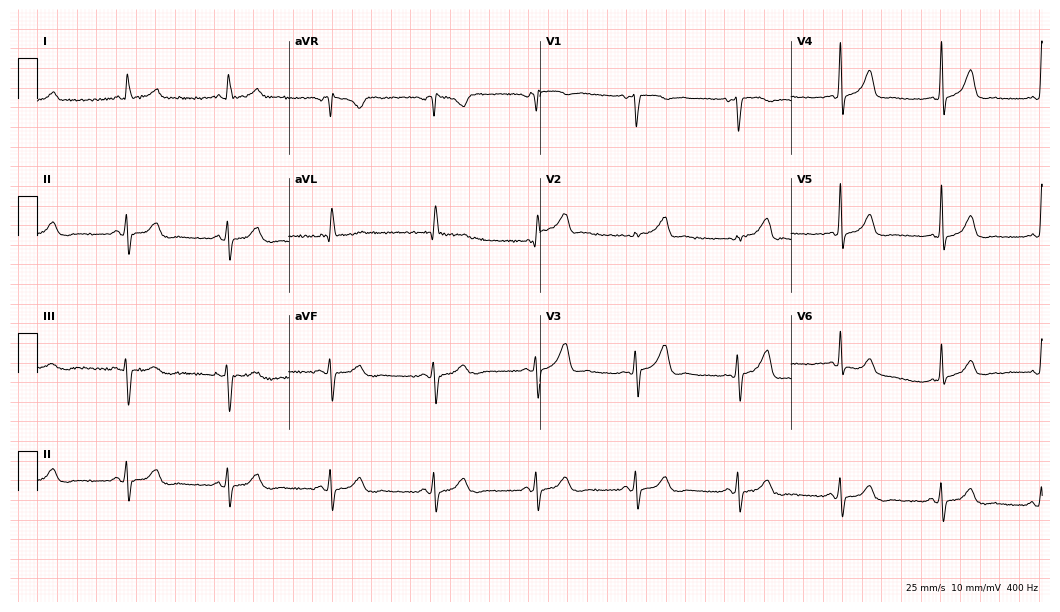
12-lead ECG (10.2-second recording at 400 Hz) from a 46-year-old female patient. Labelled as a normal ECG.